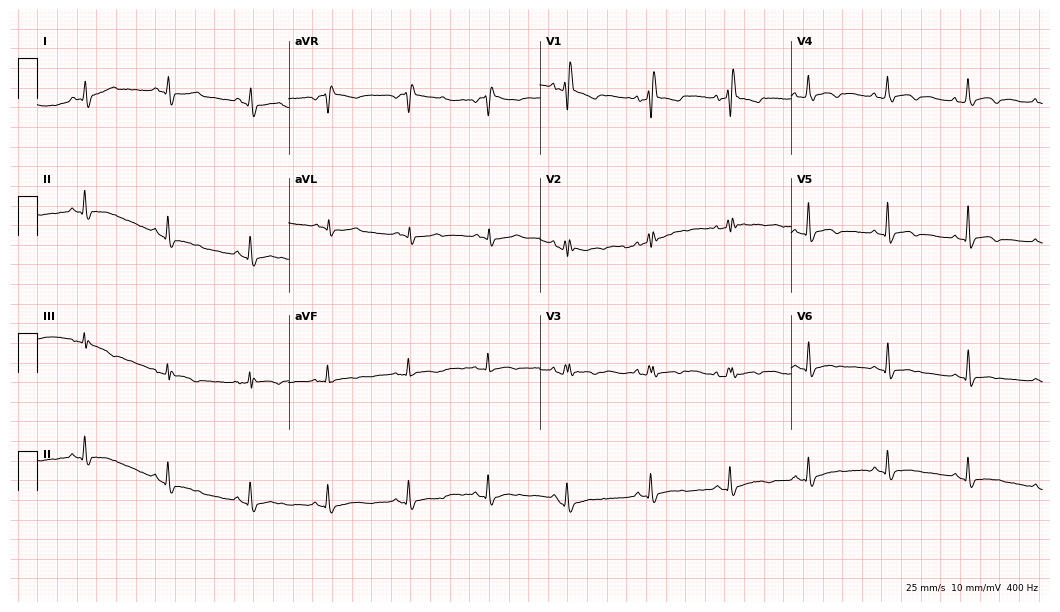
12-lead ECG from a 53-year-old female. No first-degree AV block, right bundle branch block (RBBB), left bundle branch block (LBBB), sinus bradycardia, atrial fibrillation (AF) or sinus tachycardia recorded for this tracing.